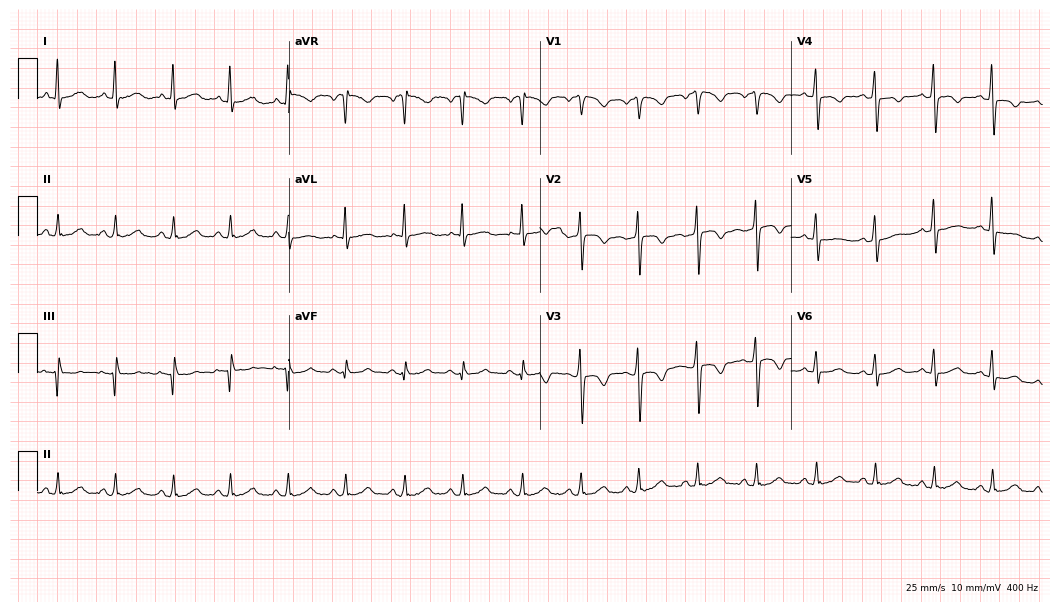
Resting 12-lead electrocardiogram. Patient: a 52-year-old female. The tracing shows sinus tachycardia (a sinus rate of 100 beats per minute or more).